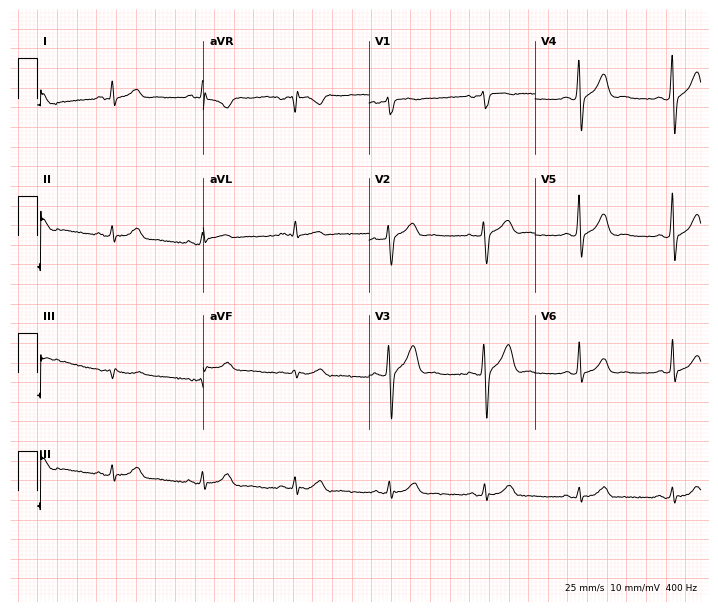
ECG — a male, 46 years old. Screened for six findings — first-degree AV block, right bundle branch block, left bundle branch block, sinus bradycardia, atrial fibrillation, sinus tachycardia — none is recorded. Other findings, if any, are not listed.